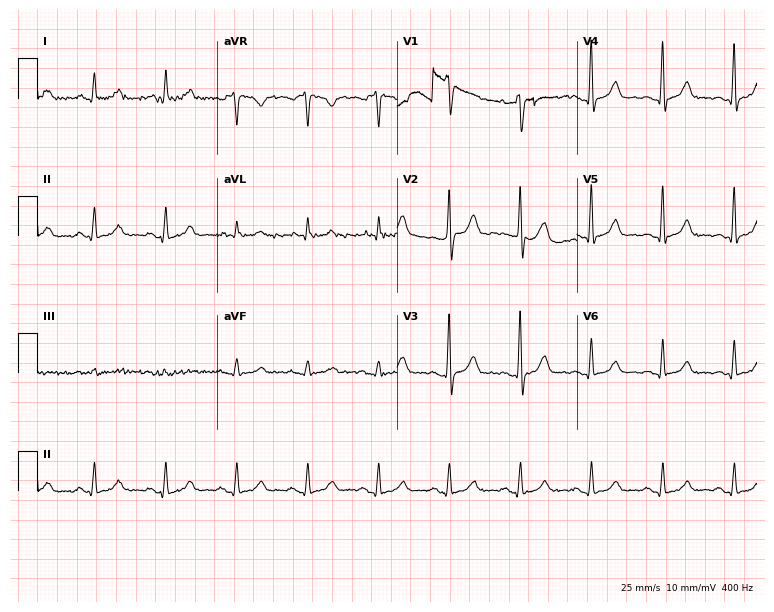
Standard 12-lead ECG recorded from a male, 74 years old (7.3-second recording at 400 Hz). Read as a normal ECG.